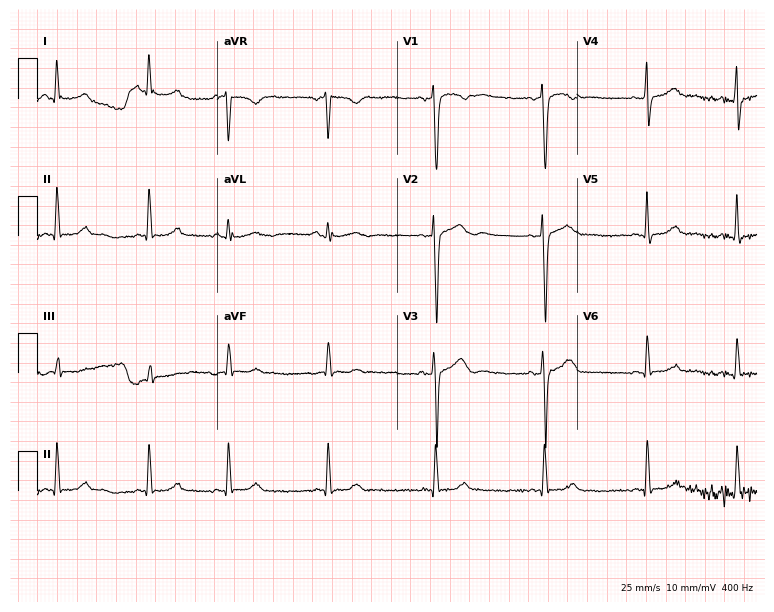
Electrocardiogram, a 19-year-old male. Of the six screened findings (first-degree AV block, right bundle branch block, left bundle branch block, sinus bradycardia, atrial fibrillation, sinus tachycardia), none is recorded. Other findings, if any, are not listed.